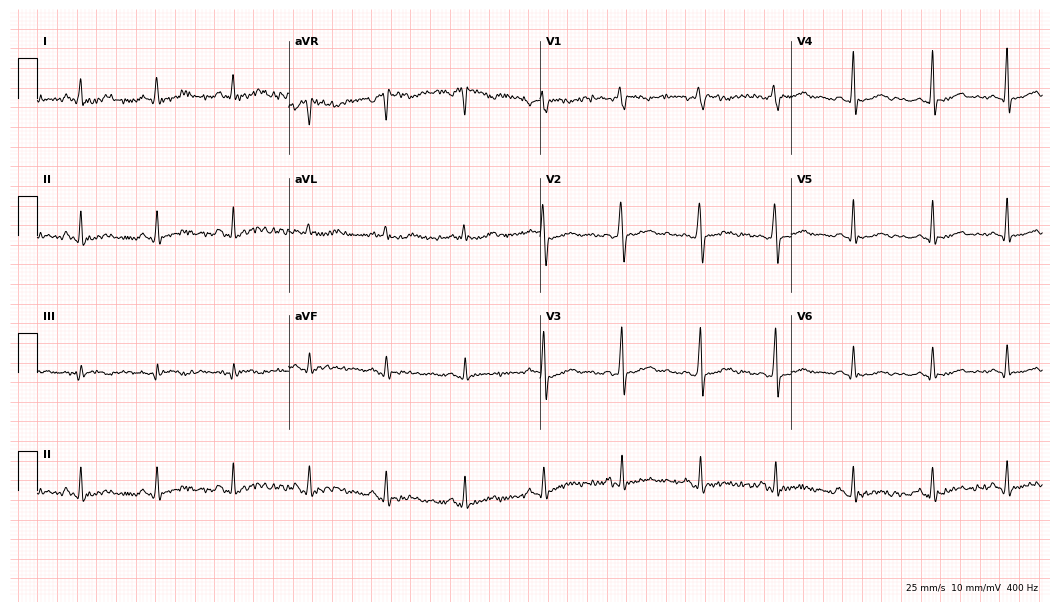
ECG — a 42-year-old female patient. Screened for six findings — first-degree AV block, right bundle branch block (RBBB), left bundle branch block (LBBB), sinus bradycardia, atrial fibrillation (AF), sinus tachycardia — none is recorded.